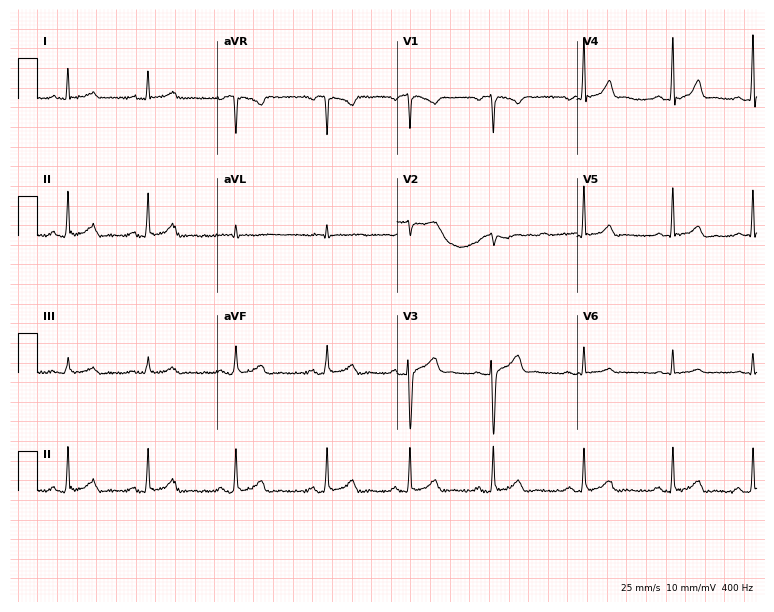
Resting 12-lead electrocardiogram (7.3-second recording at 400 Hz). Patient: a female, 28 years old. None of these six findings is recorded: first-degree AV block, right bundle branch block, left bundle branch block, sinus bradycardia, atrial fibrillation, sinus tachycardia.